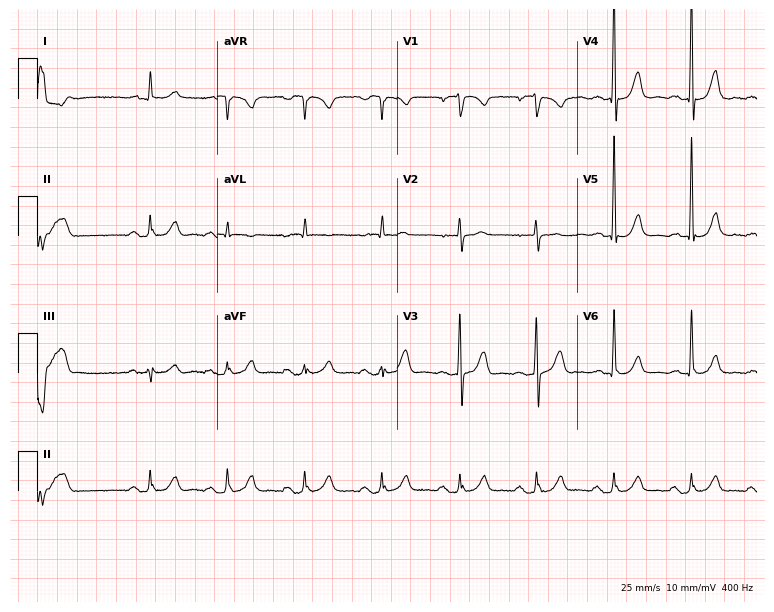
Electrocardiogram (7.3-second recording at 400 Hz), an 84-year-old male. Of the six screened findings (first-degree AV block, right bundle branch block, left bundle branch block, sinus bradycardia, atrial fibrillation, sinus tachycardia), none is recorded. Only these six findings were labelled.